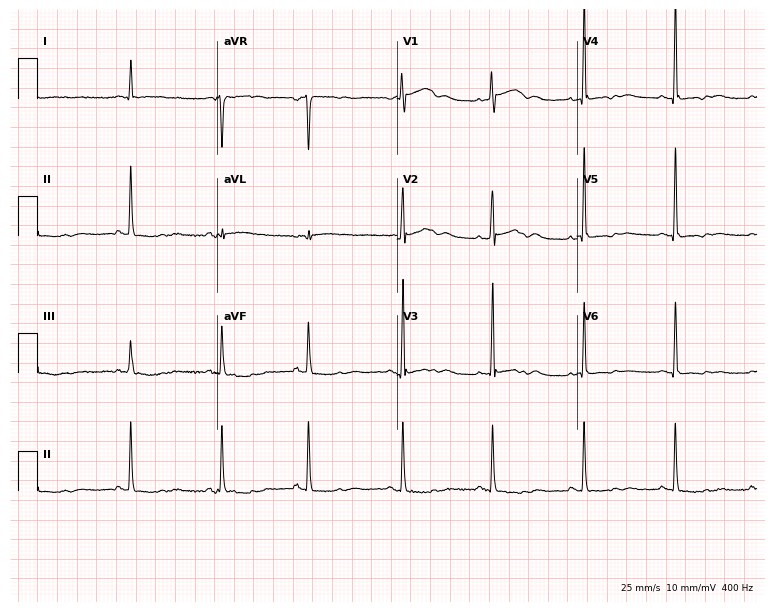
ECG — a female patient, 80 years old. Screened for six findings — first-degree AV block, right bundle branch block, left bundle branch block, sinus bradycardia, atrial fibrillation, sinus tachycardia — none is recorded.